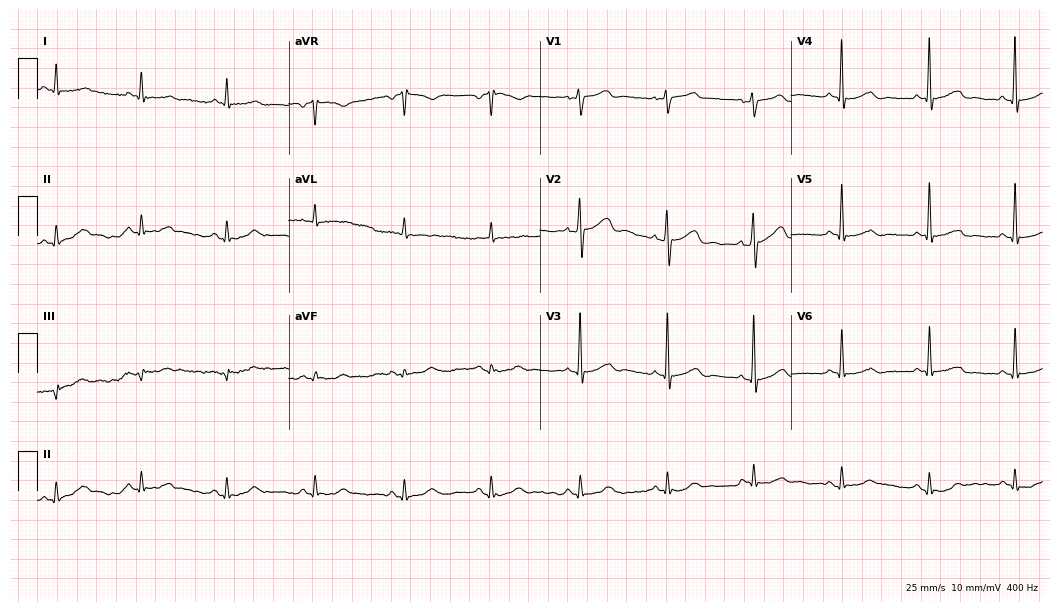
Resting 12-lead electrocardiogram (10.2-second recording at 400 Hz). Patient: a male, 53 years old. Read as a normal ECG.